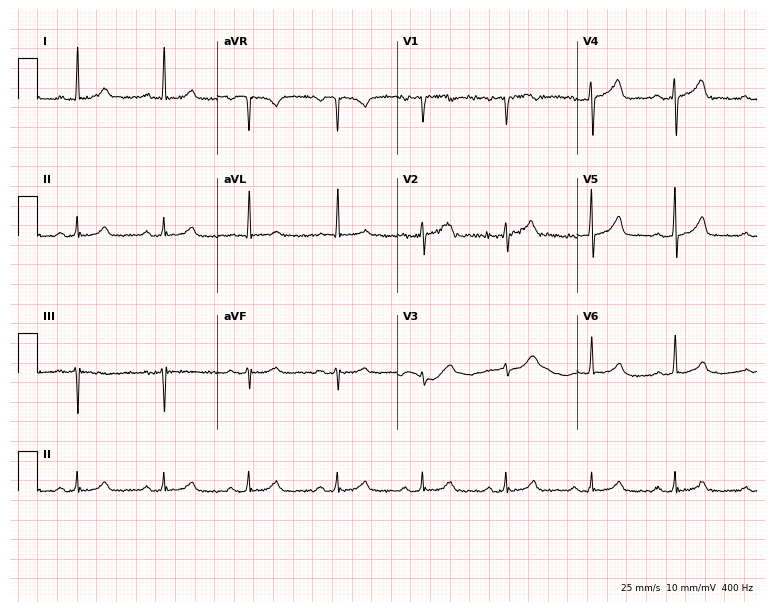
Standard 12-lead ECG recorded from a man, 58 years old. None of these six findings is recorded: first-degree AV block, right bundle branch block (RBBB), left bundle branch block (LBBB), sinus bradycardia, atrial fibrillation (AF), sinus tachycardia.